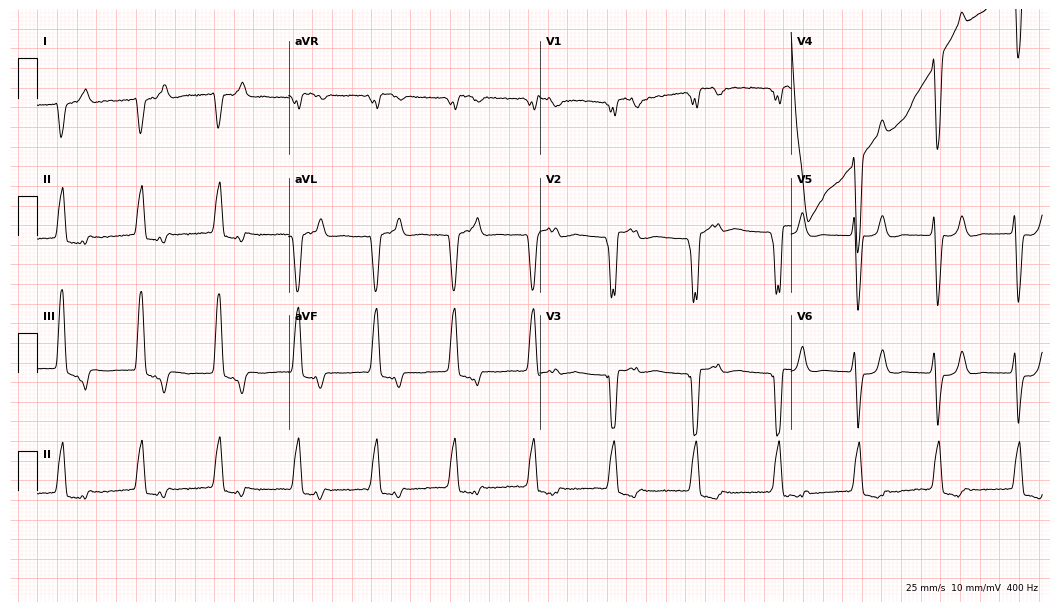
ECG (10.2-second recording at 400 Hz) — a 43-year-old male patient. Screened for six findings — first-degree AV block, right bundle branch block, left bundle branch block, sinus bradycardia, atrial fibrillation, sinus tachycardia — none is recorded. Other findings, if any, are not listed.